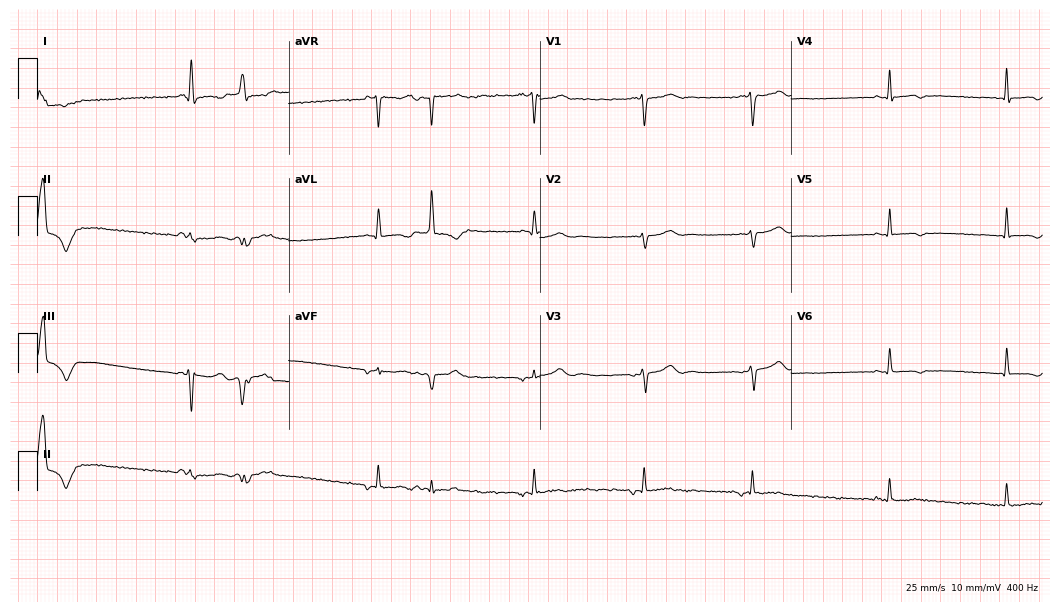
Resting 12-lead electrocardiogram. Patient: a female, 72 years old. None of these six findings is recorded: first-degree AV block, right bundle branch block, left bundle branch block, sinus bradycardia, atrial fibrillation, sinus tachycardia. Other findings, if any, are not listed.